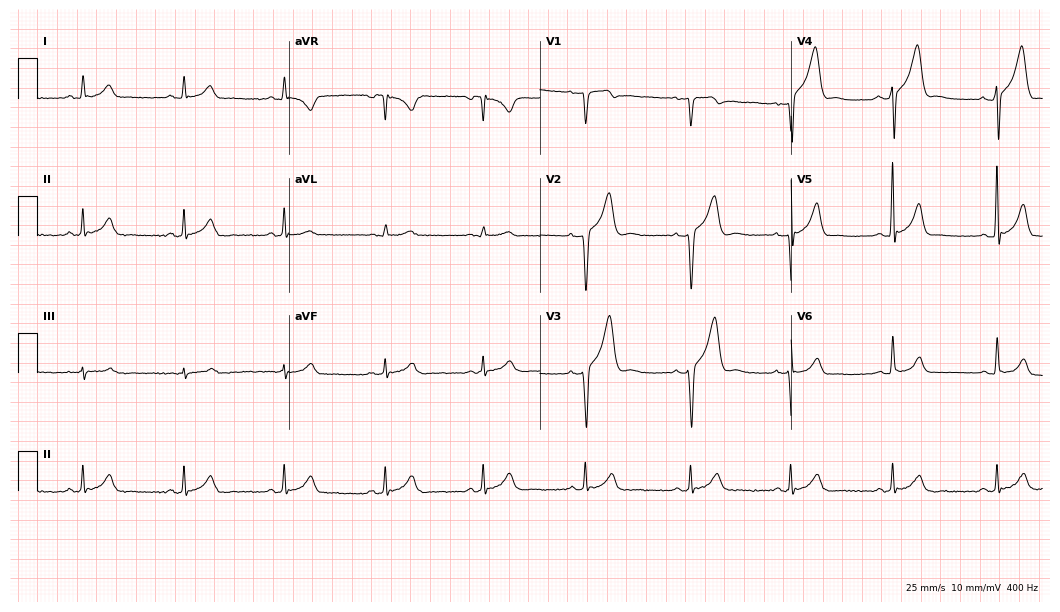
Resting 12-lead electrocardiogram. Patient: a man, 61 years old. None of these six findings is recorded: first-degree AV block, right bundle branch block, left bundle branch block, sinus bradycardia, atrial fibrillation, sinus tachycardia. Findings outside these six are not listed.